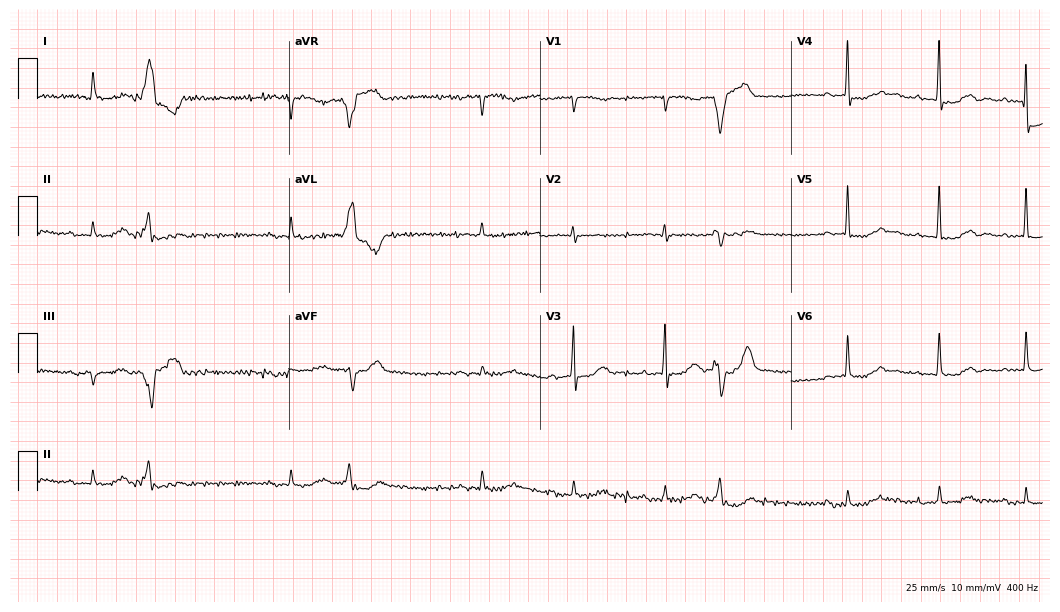
12-lead ECG from an 84-year-old man. Screened for six findings — first-degree AV block, right bundle branch block, left bundle branch block, sinus bradycardia, atrial fibrillation, sinus tachycardia — none is recorded. Other findings, if any, are not listed.